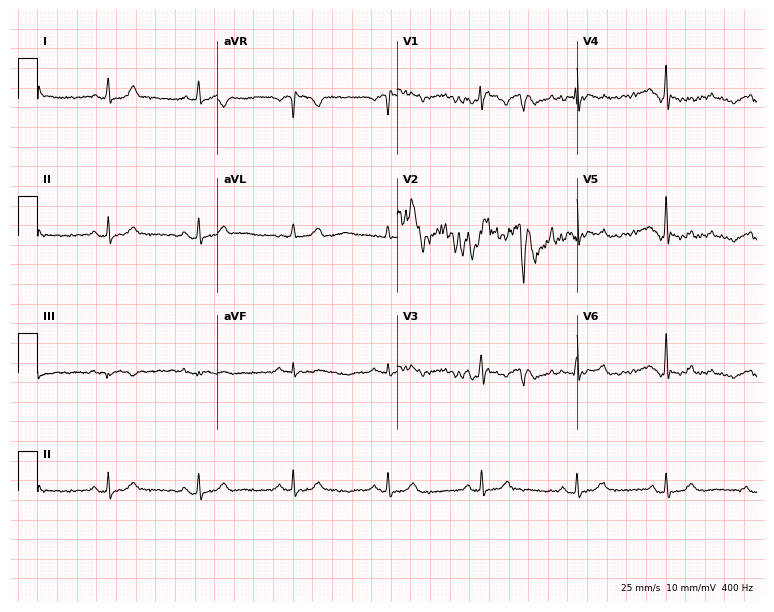
Standard 12-lead ECG recorded from a woman, 36 years old (7.3-second recording at 400 Hz). None of these six findings is recorded: first-degree AV block, right bundle branch block, left bundle branch block, sinus bradycardia, atrial fibrillation, sinus tachycardia. Only these six findings were labelled.